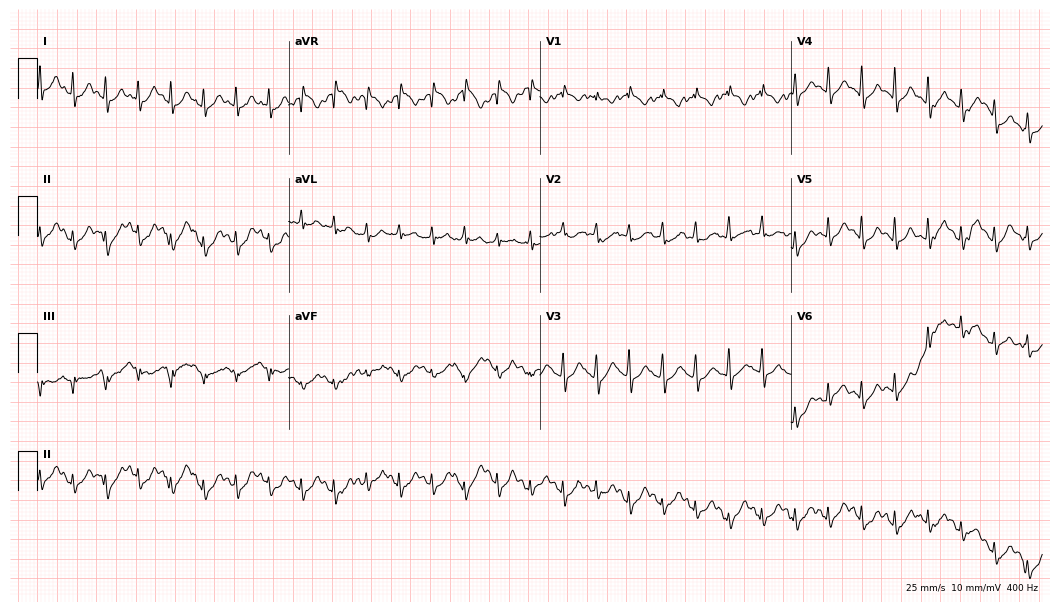
12-lead ECG from a female patient, 22 years old. Shows sinus tachycardia (a sinus rate of 100 beats per minute or more).